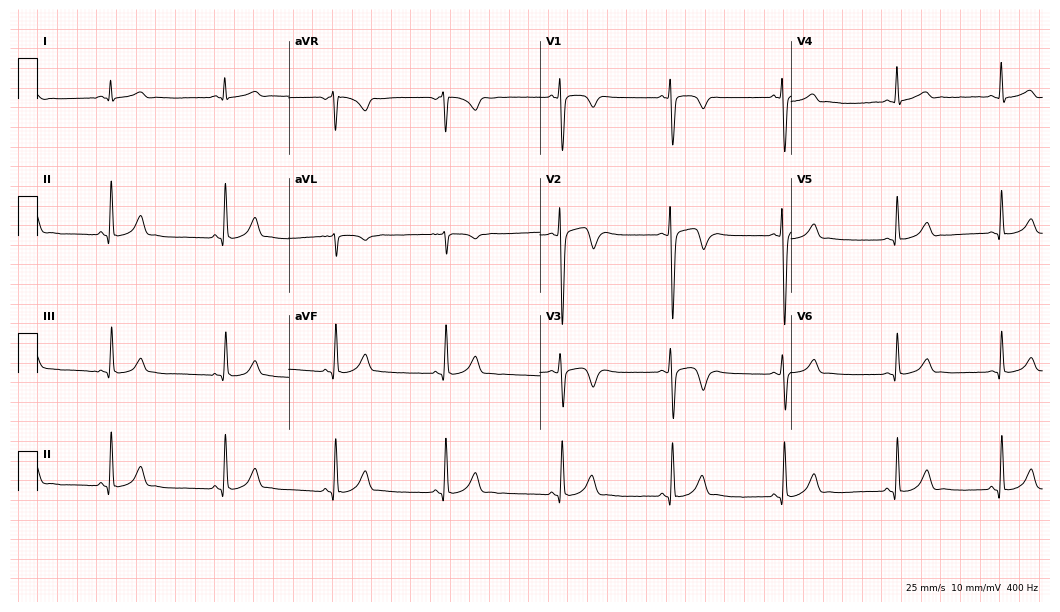
Standard 12-lead ECG recorded from a 19-year-old man. None of these six findings is recorded: first-degree AV block, right bundle branch block (RBBB), left bundle branch block (LBBB), sinus bradycardia, atrial fibrillation (AF), sinus tachycardia.